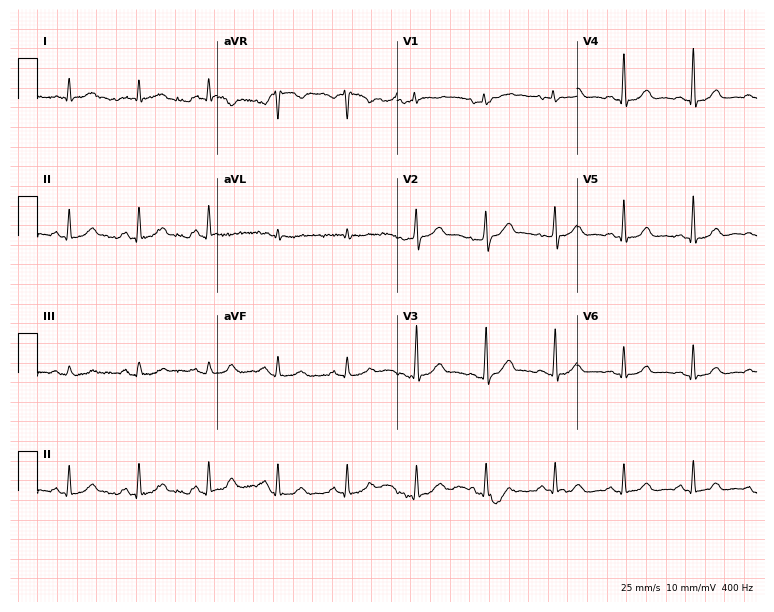
12-lead ECG from a man, 68 years old. No first-degree AV block, right bundle branch block (RBBB), left bundle branch block (LBBB), sinus bradycardia, atrial fibrillation (AF) or sinus tachycardia recorded for this tracing. Other findings, if any, are not listed.